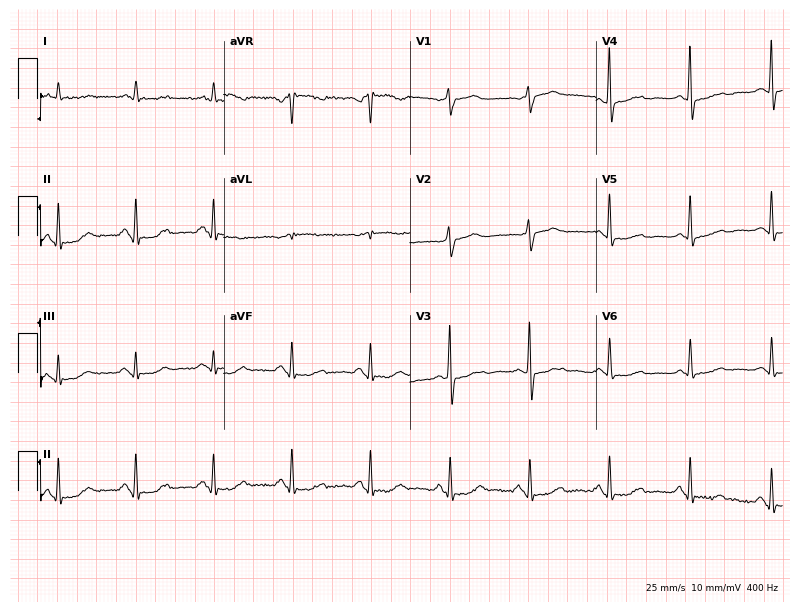
ECG (7.6-second recording at 400 Hz) — an 80-year-old woman. Screened for six findings — first-degree AV block, right bundle branch block (RBBB), left bundle branch block (LBBB), sinus bradycardia, atrial fibrillation (AF), sinus tachycardia — none is recorded. Other findings, if any, are not listed.